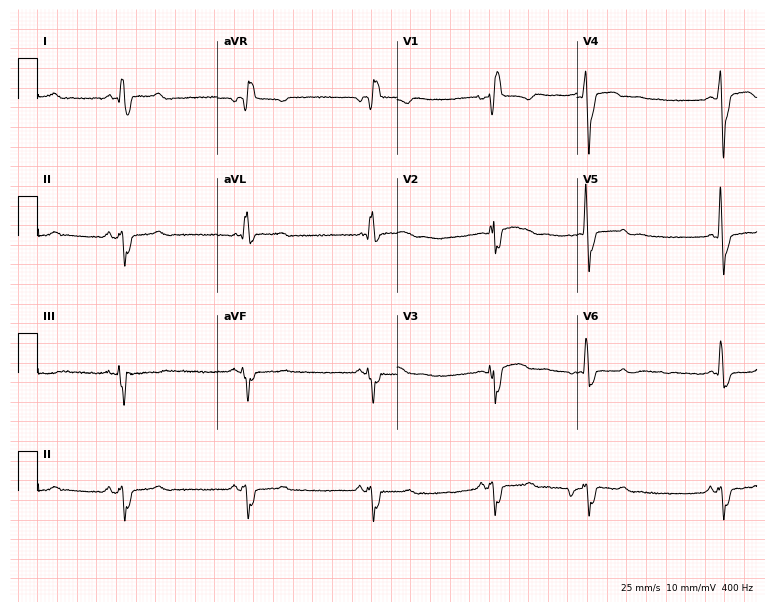
ECG — a woman, 48 years old. Findings include right bundle branch block.